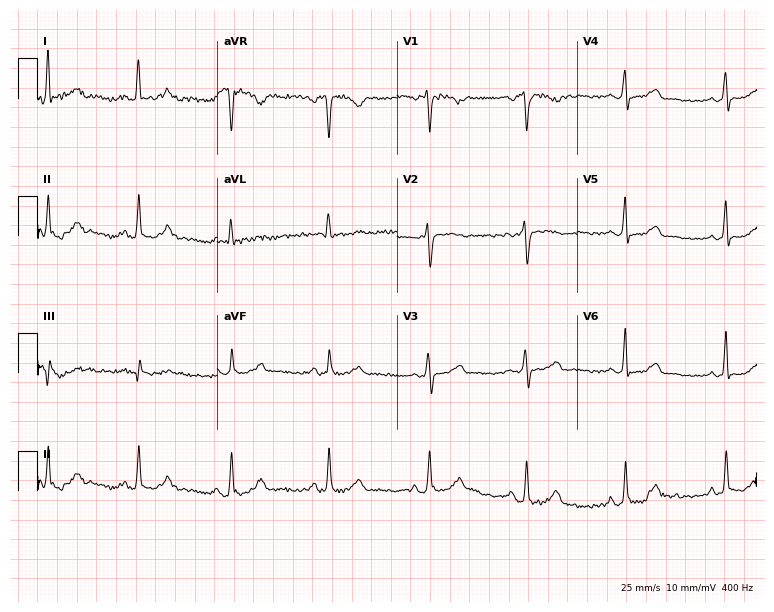
12-lead ECG from a 49-year-old woman (7.3-second recording at 400 Hz). No first-degree AV block, right bundle branch block, left bundle branch block, sinus bradycardia, atrial fibrillation or sinus tachycardia recorded for this tracing. Only these six findings were labelled.